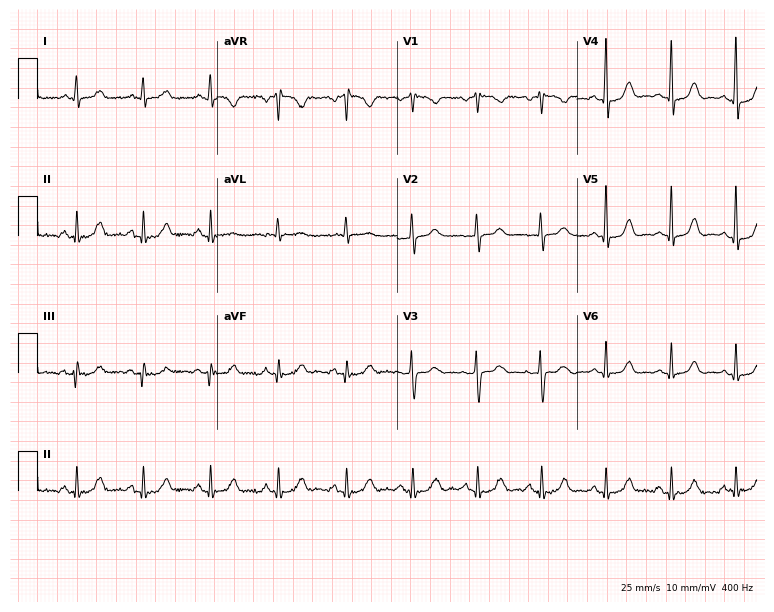
12-lead ECG from a female, 52 years old. Labelled as a normal ECG.